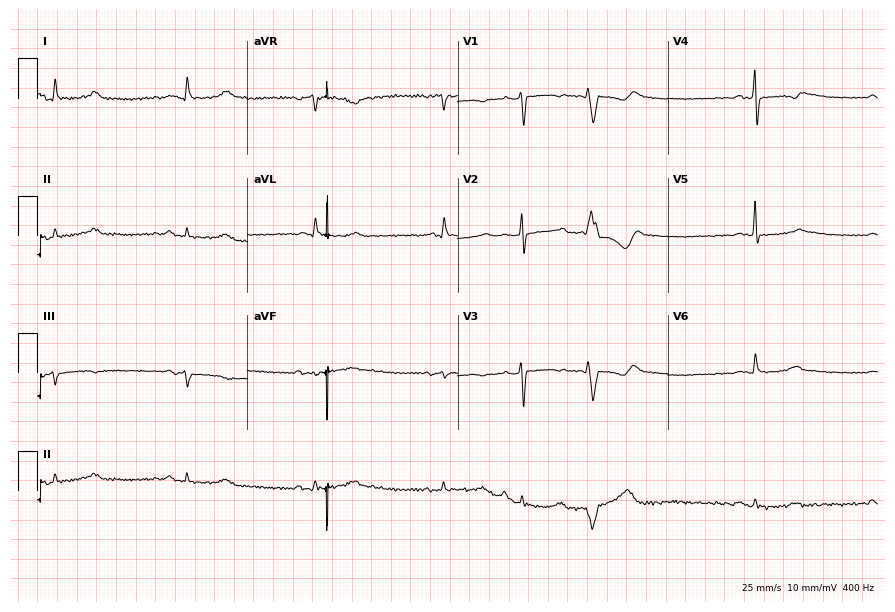
Electrocardiogram (8.6-second recording at 400 Hz), a 77-year-old woman. Of the six screened findings (first-degree AV block, right bundle branch block, left bundle branch block, sinus bradycardia, atrial fibrillation, sinus tachycardia), none is recorded.